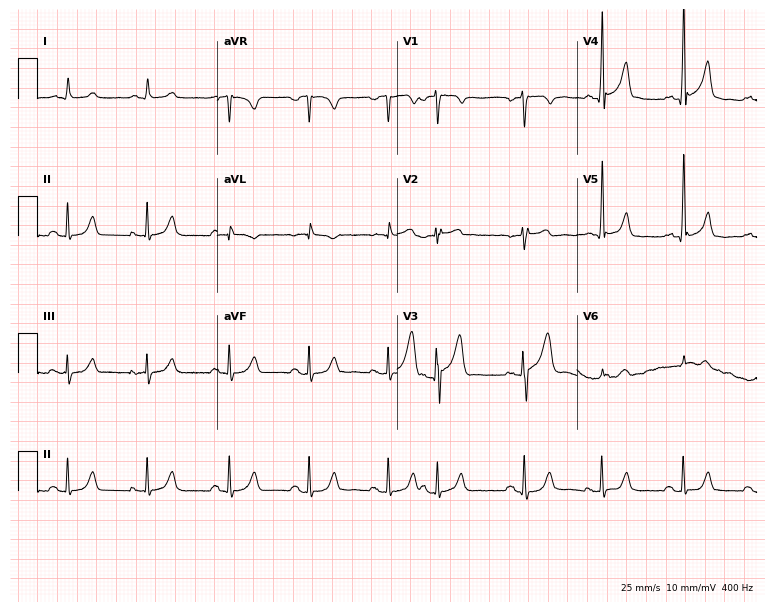
12-lead ECG from a male, 61 years old. No first-degree AV block, right bundle branch block (RBBB), left bundle branch block (LBBB), sinus bradycardia, atrial fibrillation (AF) or sinus tachycardia recorded for this tracing. Findings outside these six are not listed.